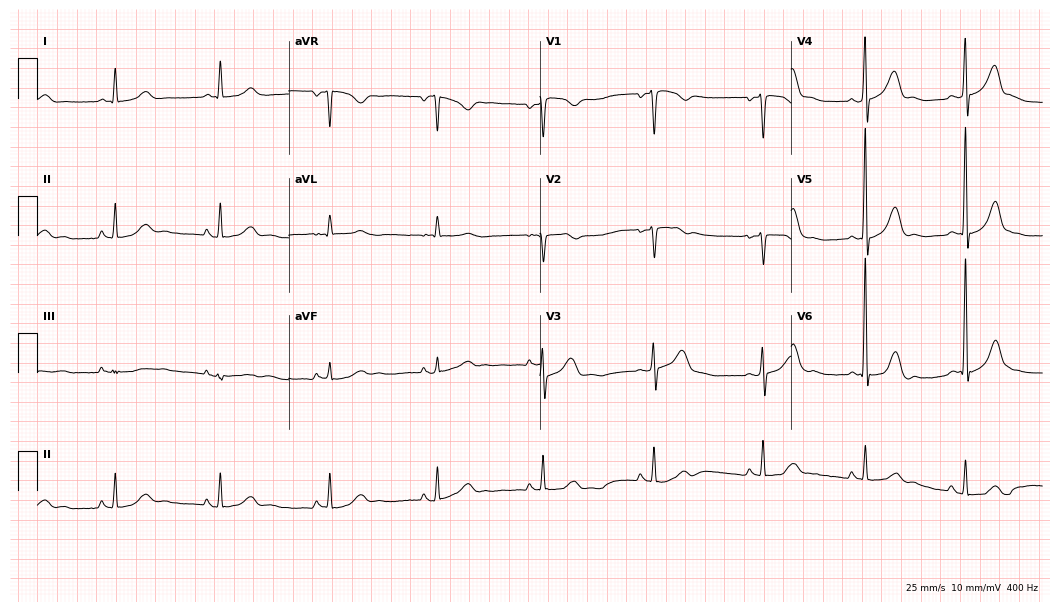
12-lead ECG from a male, 51 years old. Screened for six findings — first-degree AV block, right bundle branch block, left bundle branch block, sinus bradycardia, atrial fibrillation, sinus tachycardia — none is recorded.